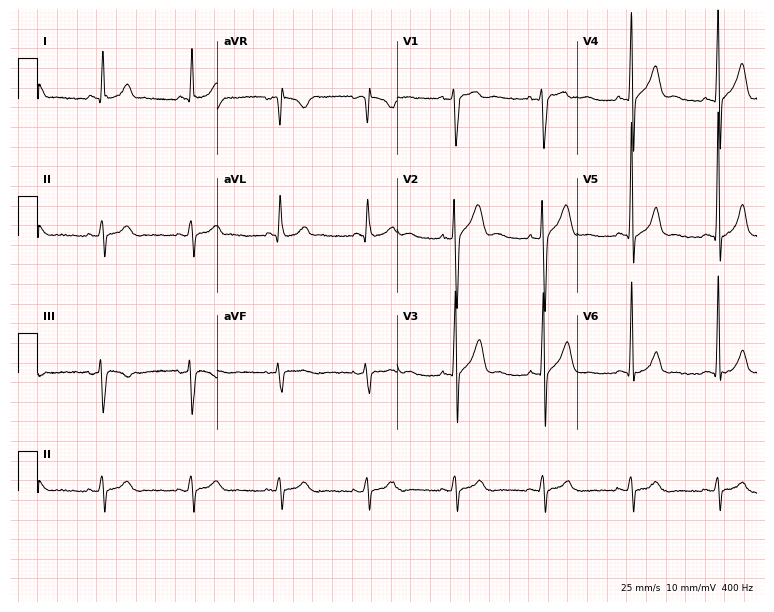
ECG — a man, 50 years old. Labelled as a normal ECG.